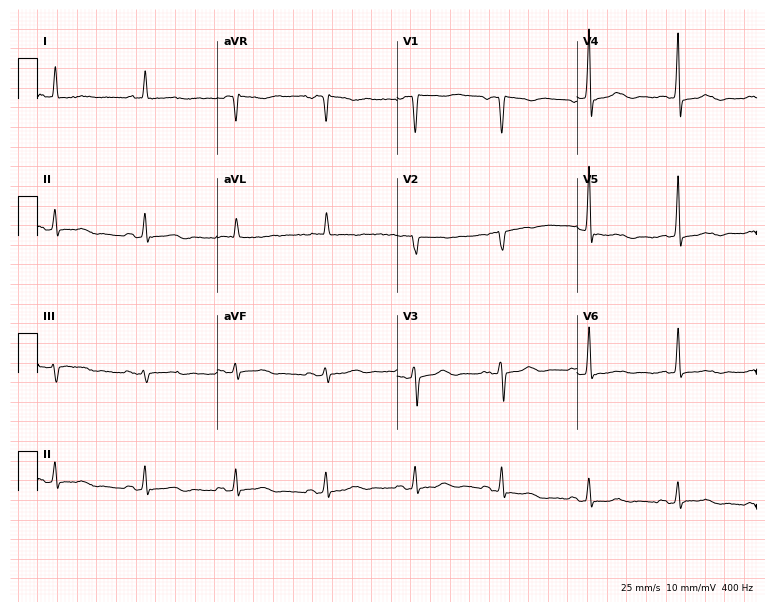
12-lead ECG from a female, 81 years old. Screened for six findings — first-degree AV block, right bundle branch block, left bundle branch block, sinus bradycardia, atrial fibrillation, sinus tachycardia — none is recorded.